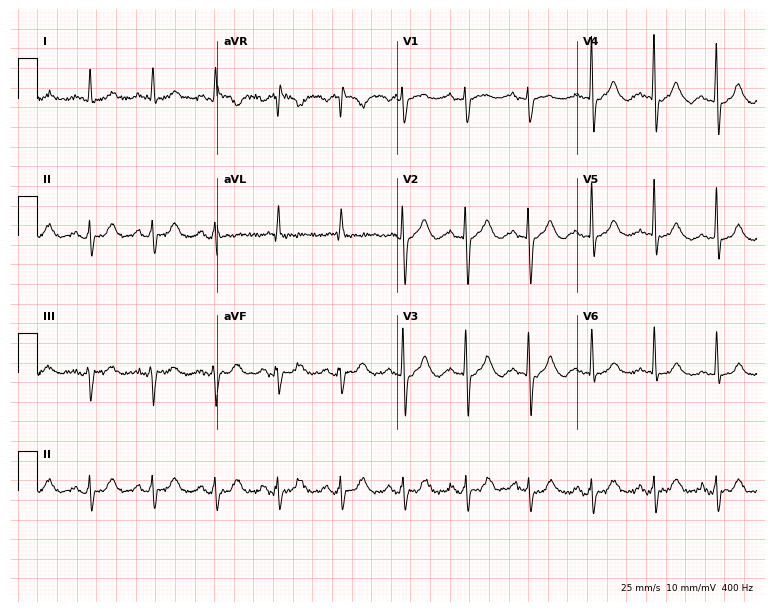
ECG (7.3-second recording at 400 Hz) — a female, 60 years old. Screened for six findings — first-degree AV block, right bundle branch block (RBBB), left bundle branch block (LBBB), sinus bradycardia, atrial fibrillation (AF), sinus tachycardia — none is recorded. Other findings, if any, are not listed.